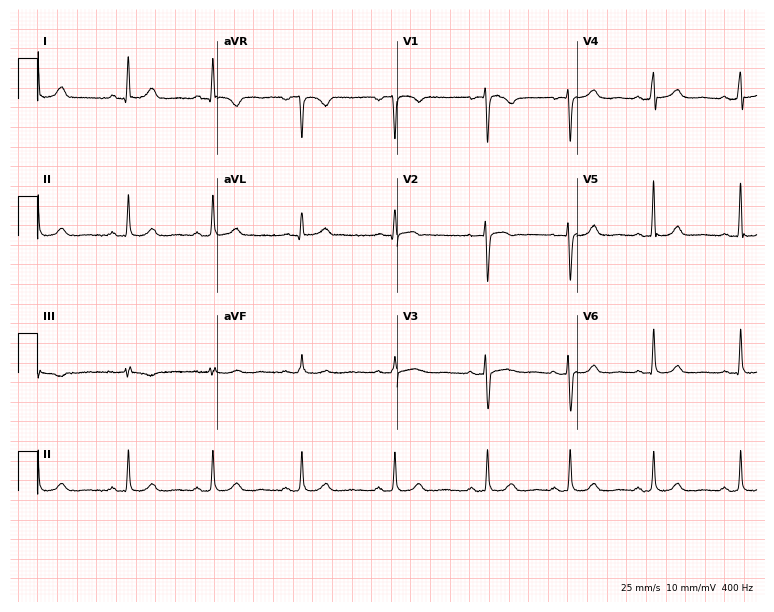
Electrocardiogram, a female, 38 years old. Overall reading on record: normal ECG.